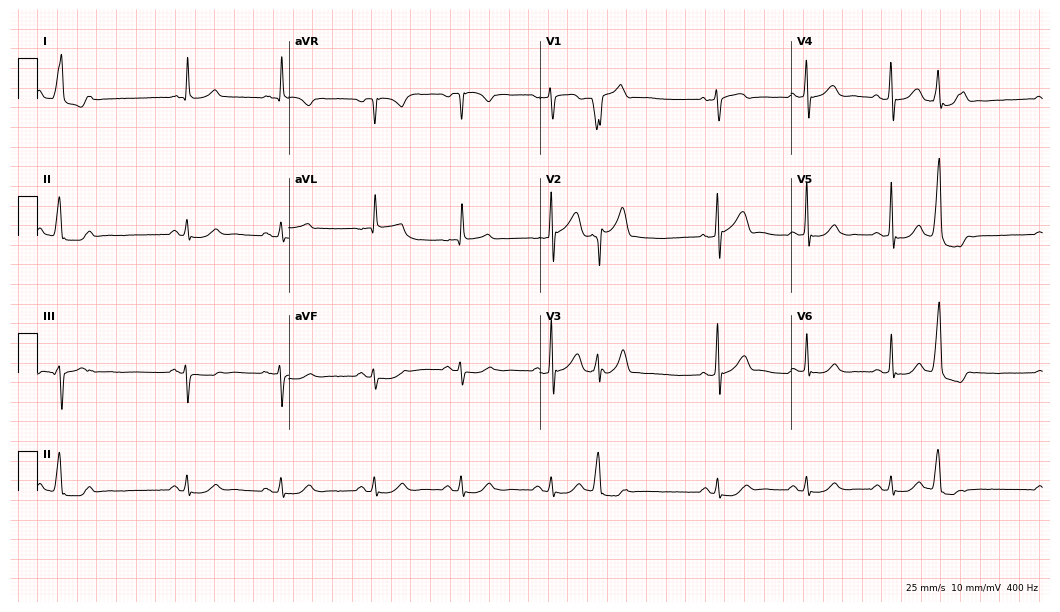
12-lead ECG from a male patient, 77 years old. Screened for six findings — first-degree AV block, right bundle branch block (RBBB), left bundle branch block (LBBB), sinus bradycardia, atrial fibrillation (AF), sinus tachycardia — none is recorded.